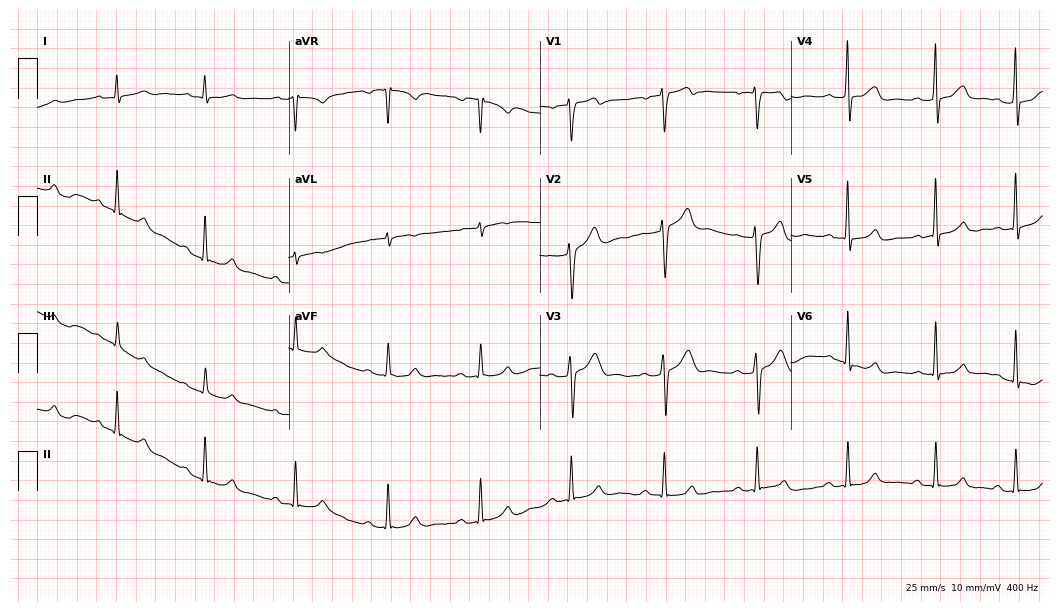
Resting 12-lead electrocardiogram (10.2-second recording at 400 Hz). Patient: a 33-year-old man. Read as a normal ECG.